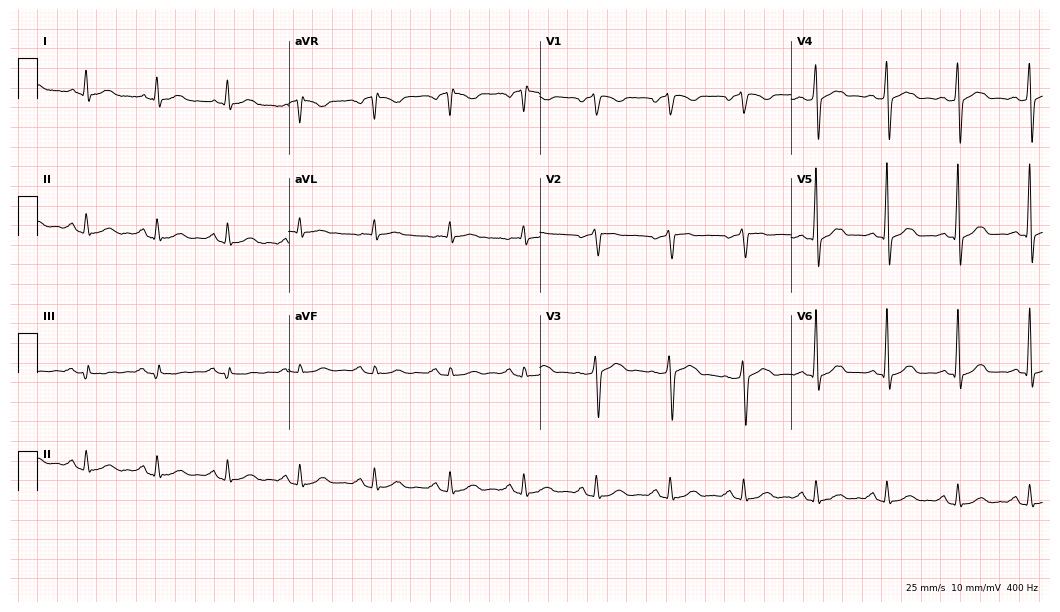
Resting 12-lead electrocardiogram. Patient: a 55-year-old man. None of these six findings is recorded: first-degree AV block, right bundle branch block, left bundle branch block, sinus bradycardia, atrial fibrillation, sinus tachycardia.